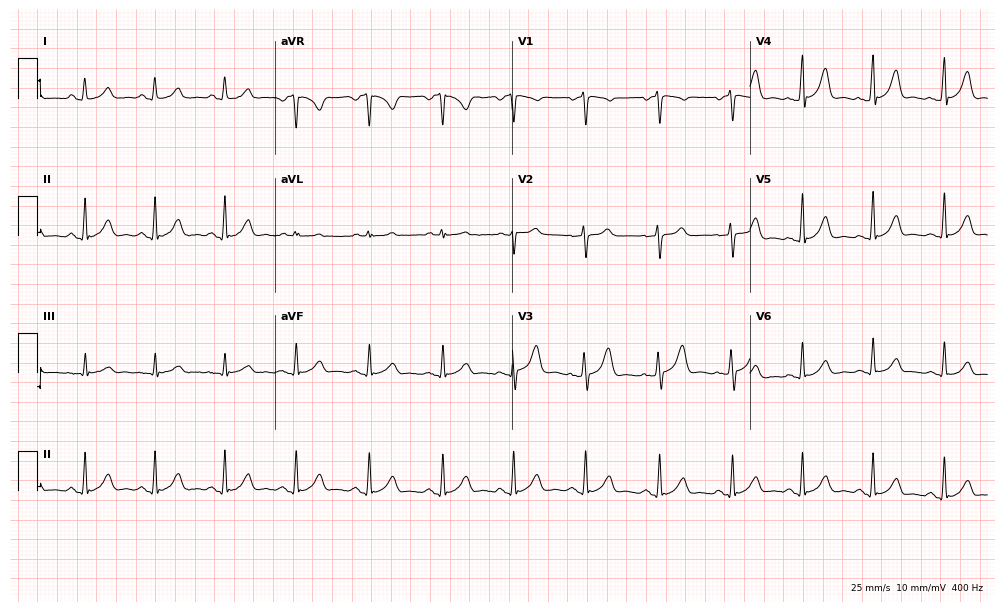
12-lead ECG from a 30-year-old female patient (9.7-second recording at 400 Hz). Recorded interpretation: within normal limits.